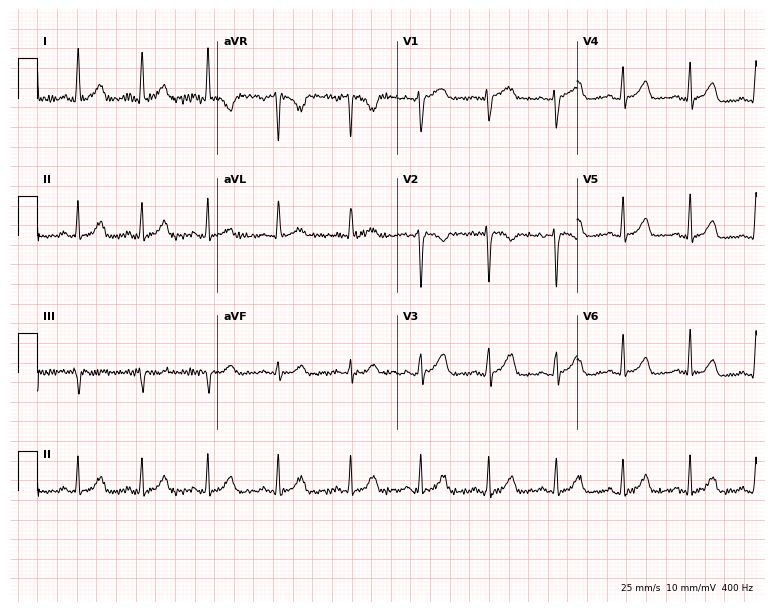
Electrocardiogram, a woman, 49 years old. Of the six screened findings (first-degree AV block, right bundle branch block (RBBB), left bundle branch block (LBBB), sinus bradycardia, atrial fibrillation (AF), sinus tachycardia), none is recorded. Only these six findings were labelled.